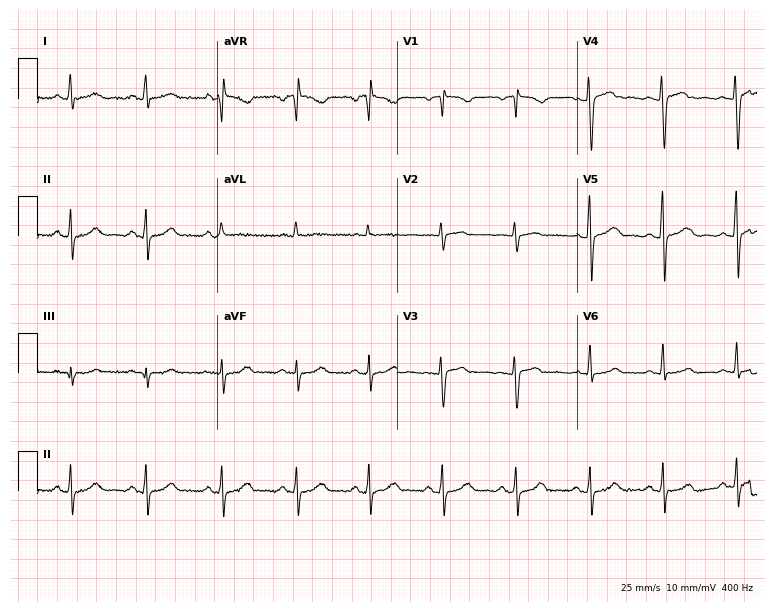
12-lead ECG from a female patient, 32 years old. Screened for six findings — first-degree AV block, right bundle branch block (RBBB), left bundle branch block (LBBB), sinus bradycardia, atrial fibrillation (AF), sinus tachycardia — none is recorded. Only these six findings were labelled.